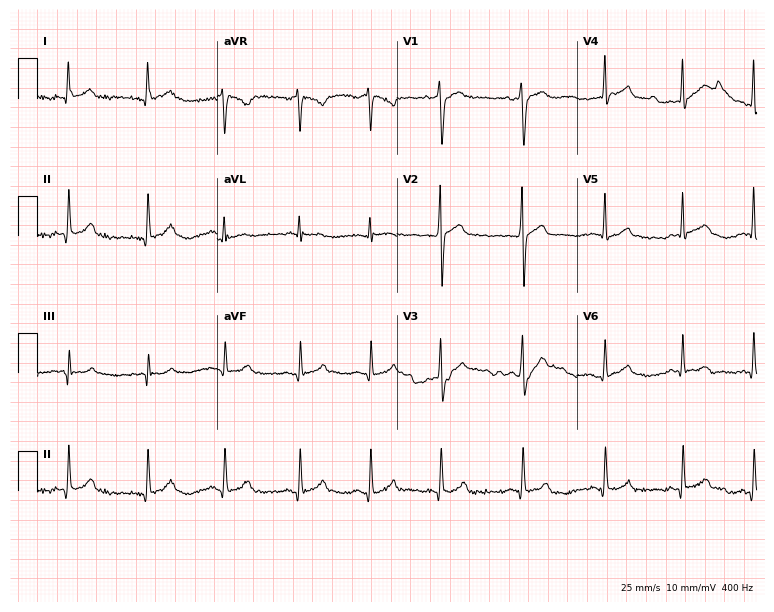
12-lead ECG from a 22-year-old man (7.3-second recording at 400 Hz). No first-degree AV block, right bundle branch block (RBBB), left bundle branch block (LBBB), sinus bradycardia, atrial fibrillation (AF) or sinus tachycardia recorded for this tracing. Other findings, if any, are not listed.